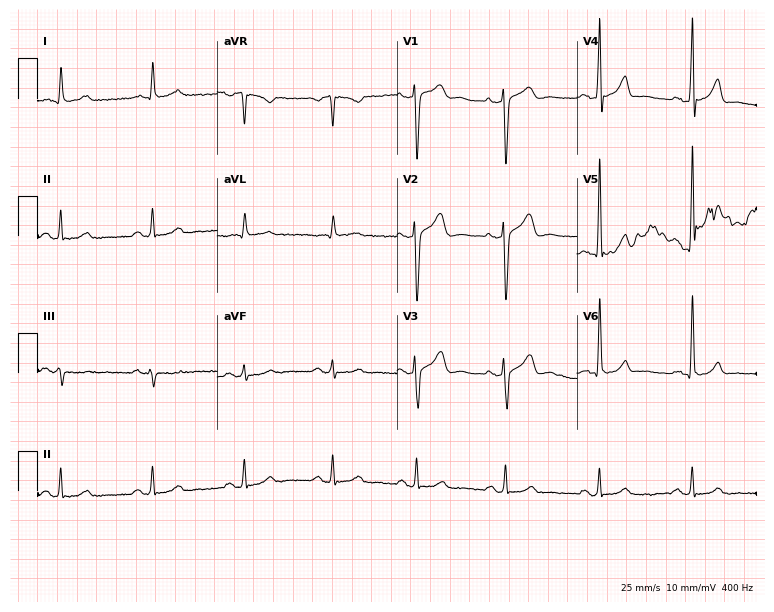
12-lead ECG from a male patient, 46 years old (7.3-second recording at 400 Hz). No first-degree AV block, right bundle branch block, left bundle branch block, sinus bradycardia, atrial fibrillation or sinus tachycardia recorded for this tracing. Findings outside these six are not listed.